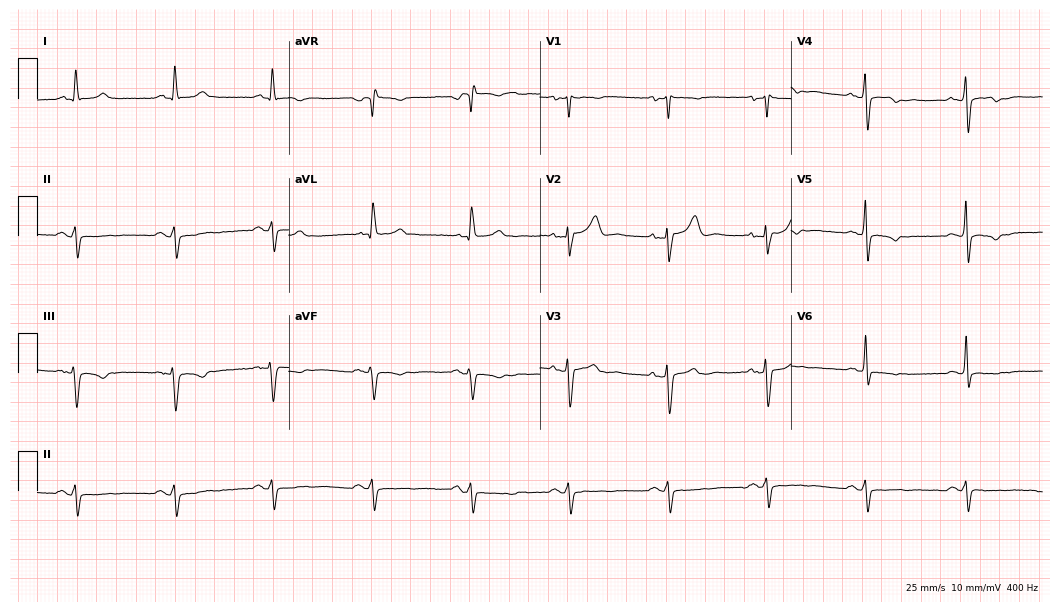
12-lead ECG from a man, 61 years old (10.2-second recording at 400 Hz). No first-degree AV block, right bundle branch block, left bundle branch block, sinus bradycardia, atrial fibrillation or sinus tachycardia recorded for this tracing. Other findings, if any, are not listed.